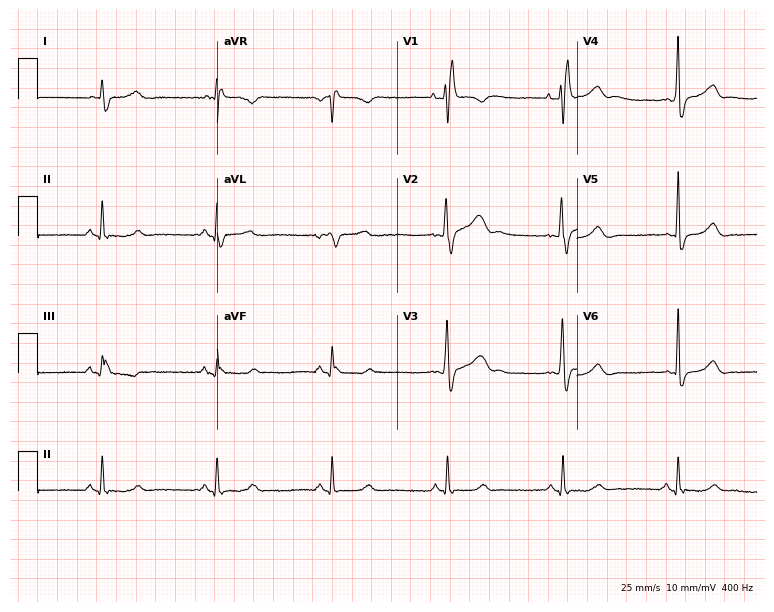
Electrocardiogram (7.3-second recording at 400 Hz), a 57-year-old male patient. Interpretation includes right bundle branch block.